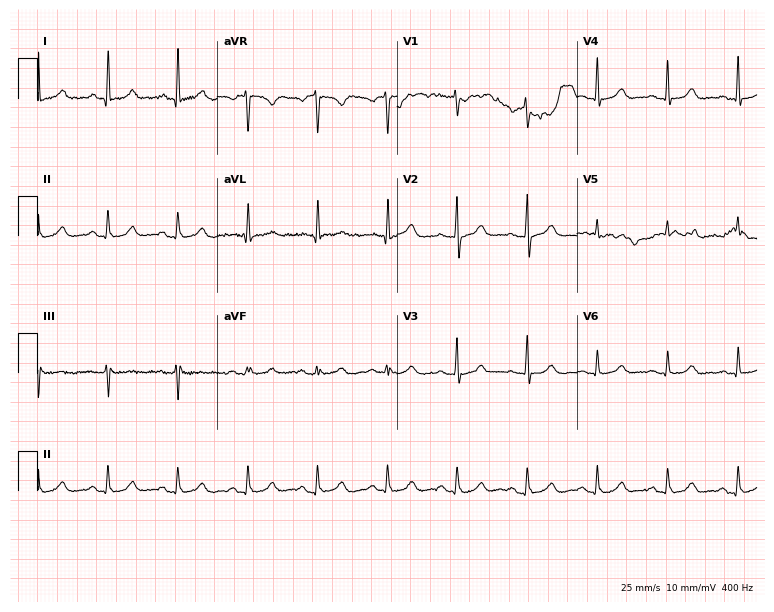
Standard 12-lead ECG recorded from a 58-year-old female patient. Read as a normal ECG.